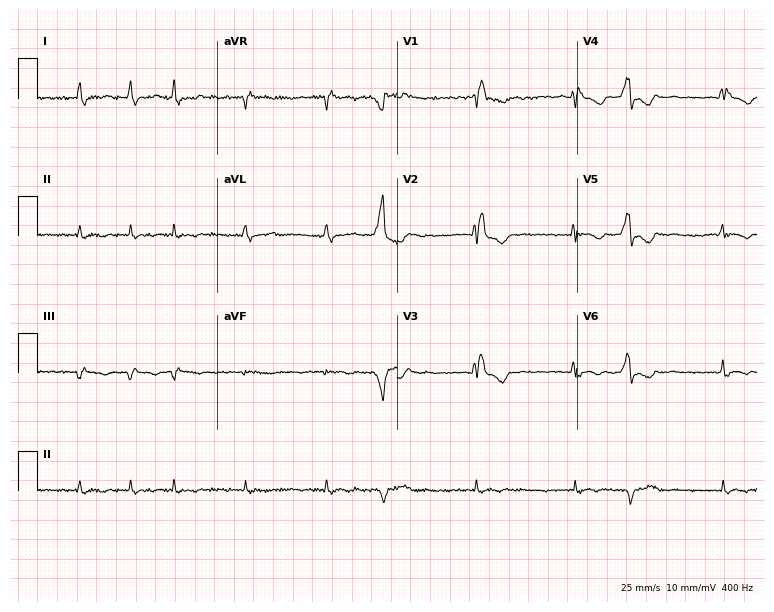
12-lead ECG (7.3-second recording at 400 Hz) from a man, 53 years old. Findings include right bundle branch block (RBBB), atrial fibrillation (AF).